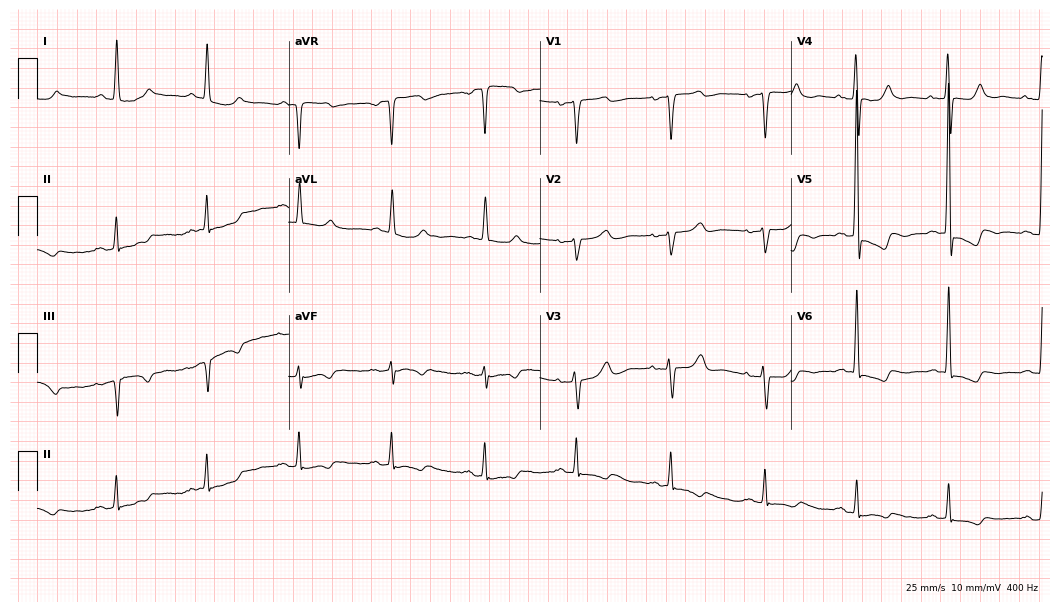
ECG (10.2-second recording at 400 Hz) — a 70-year-old woman. Screened for six findings — first-degree AV block, right bundle branch block, left bundle branch block, sinus bradycardia, atrial fibrillation, sinus tachycardia — none is recorded. Findings outside these six are not listed.